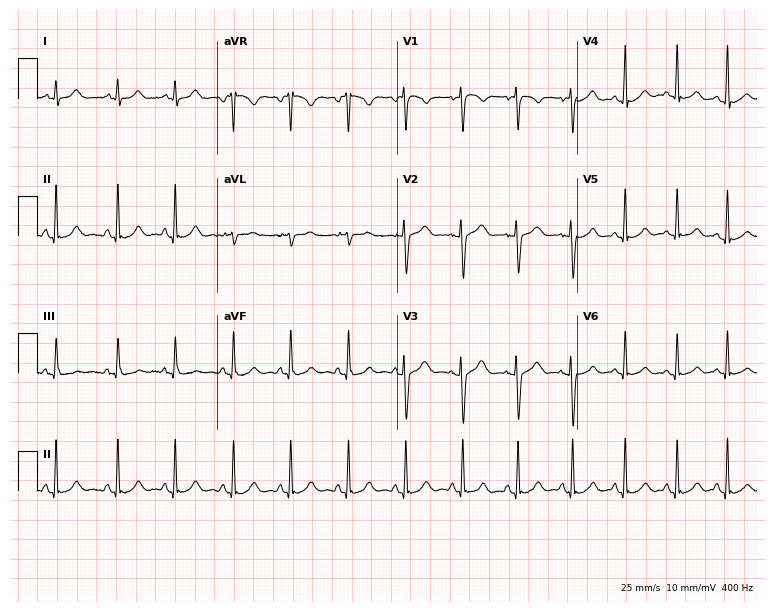
Electrocardiogram, a woman, 17 years old. Interpretation includes sinus tachycardia (a sinus rate of 100 beats per minute or more).